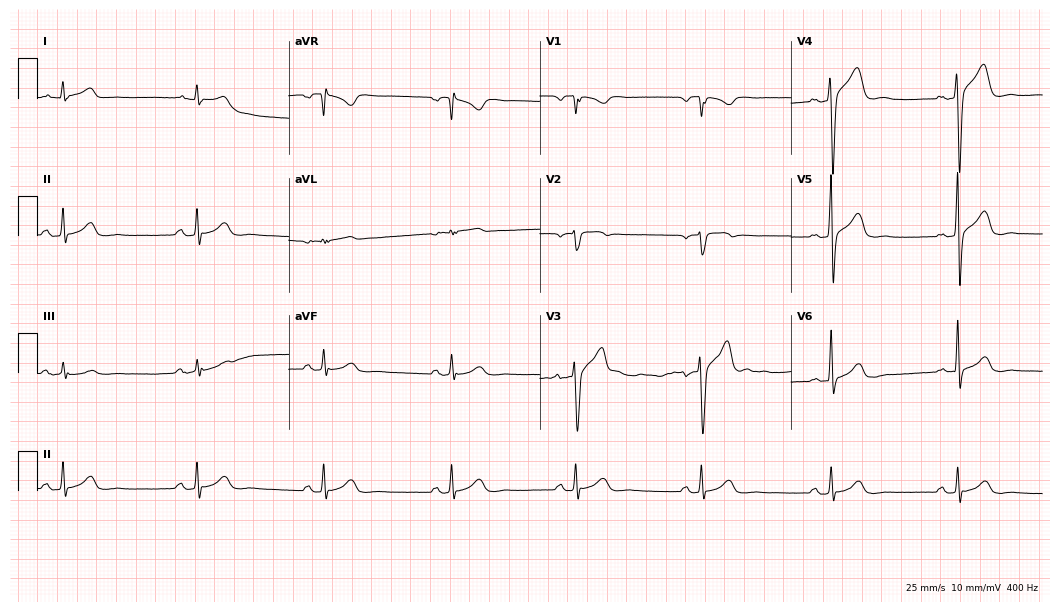
12-lead ECG from a male, 52 years old (10.2-second recording at 400 Hz). Recorded interpretation: within normal limits.